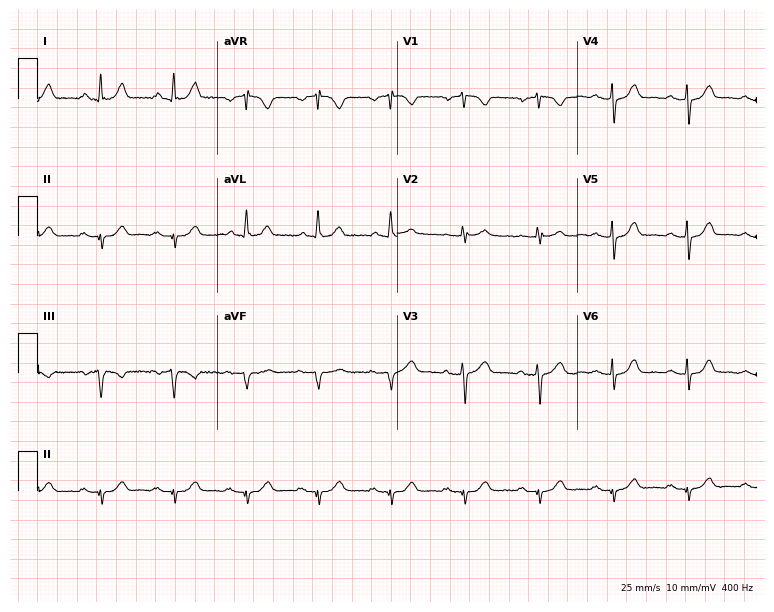
12-lead ECG from a male patient, 67 years old (7.3-second recording at 400 Hz). No first-degree AV block, right bundle branch block (RBBB), left bundle branch block (LBBB), sinus bradycardia, atrial fibrillation (AF) or sinus tachycardia recorded for this tracing.